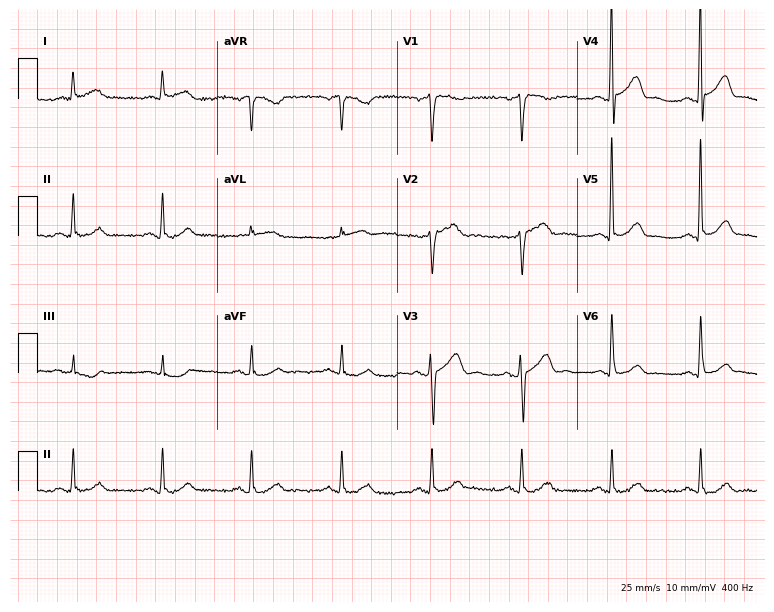
12-lead ECG from a 66-year-old male patient. No first-degree AV block, right bundle branch block, left bundle branch block, sinus bradycardia, atrial fibrillation or sinus tachycardia recorded for this tracing.